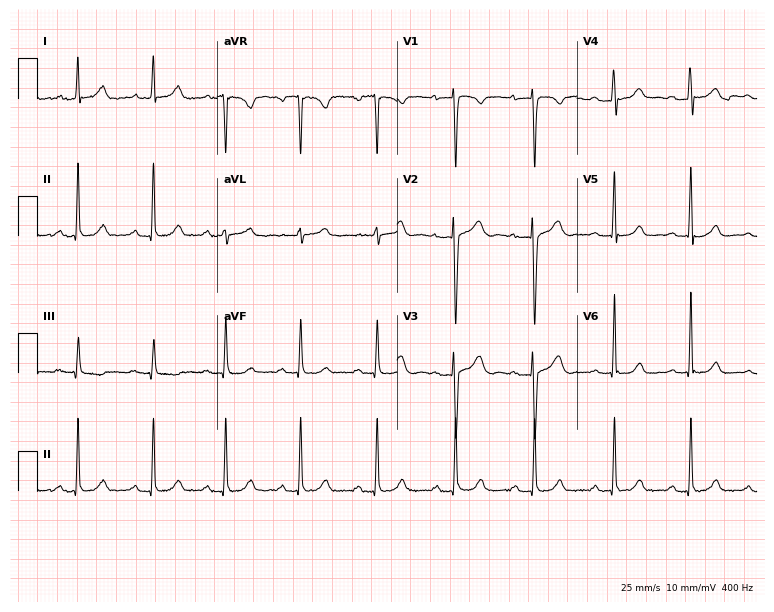
Resting 12-lead electrocardiogram. Patient: a female, 33 years old. Read as a normal ECG.